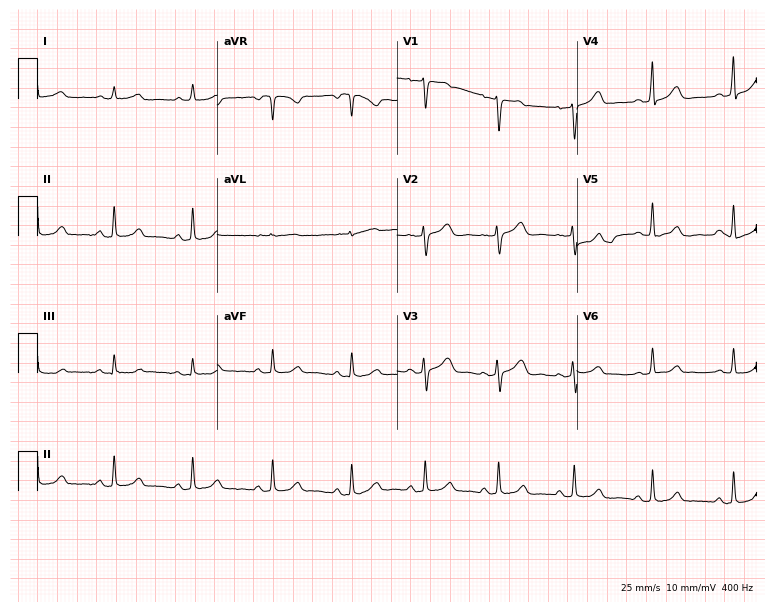
Standard 12-lead ECG recorded from a 47-year-old female. None of these six findings is recorded: first-degree AV block, right bundle branch block (RBBB), left bundle branch block (LBBB), sinus bradycardia, atrial fibrillation (AF), sinus tachycardia. Other findings, if any, are not listed.